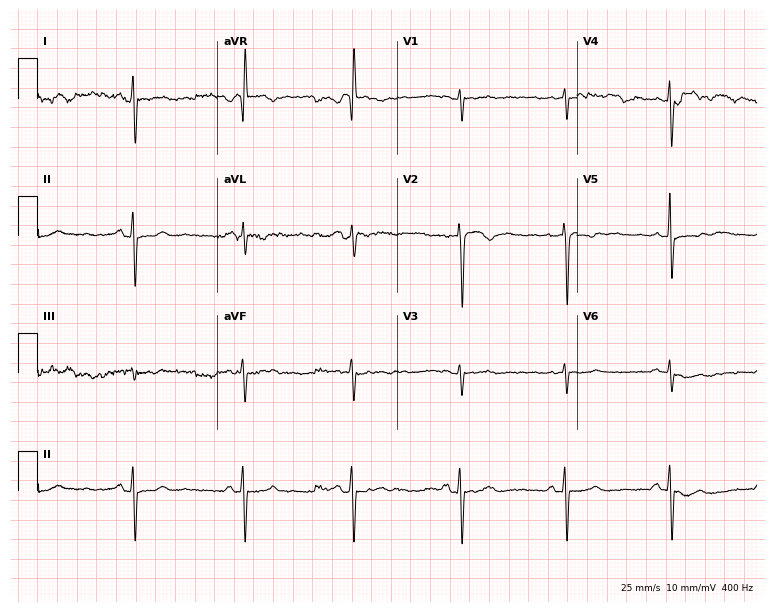
Resting 12-lead electrocardiogram. Patient: a 59-year-old male. None of these six findings is recorded: first-degree AV block, right bundle branch block, left bundle branch block, sinus bradycardia, atrial fibrillation, sinus tachycardia. Only these six findings were labelled.